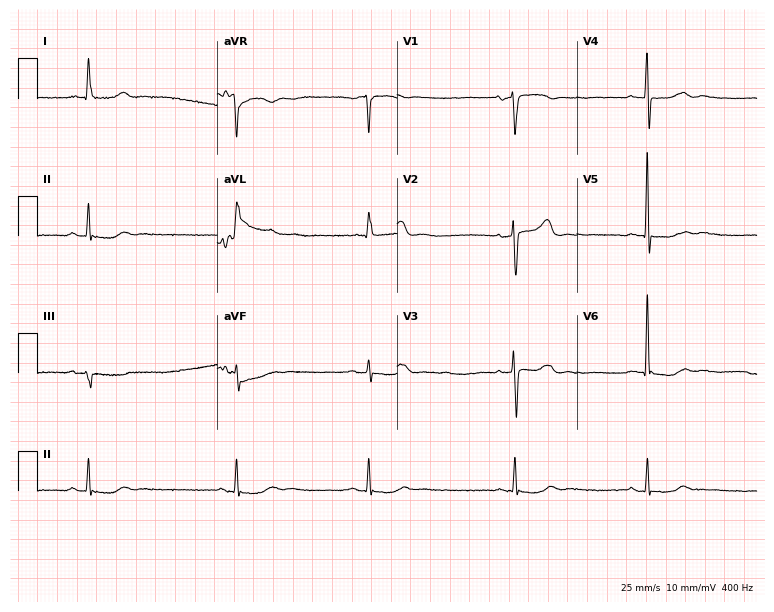
Resting 12-lead electrocardiogram. Patient: a male, 80 years old. The tracing shows sinus bradycardia (a sinus rate of 50 beats per minute or less).